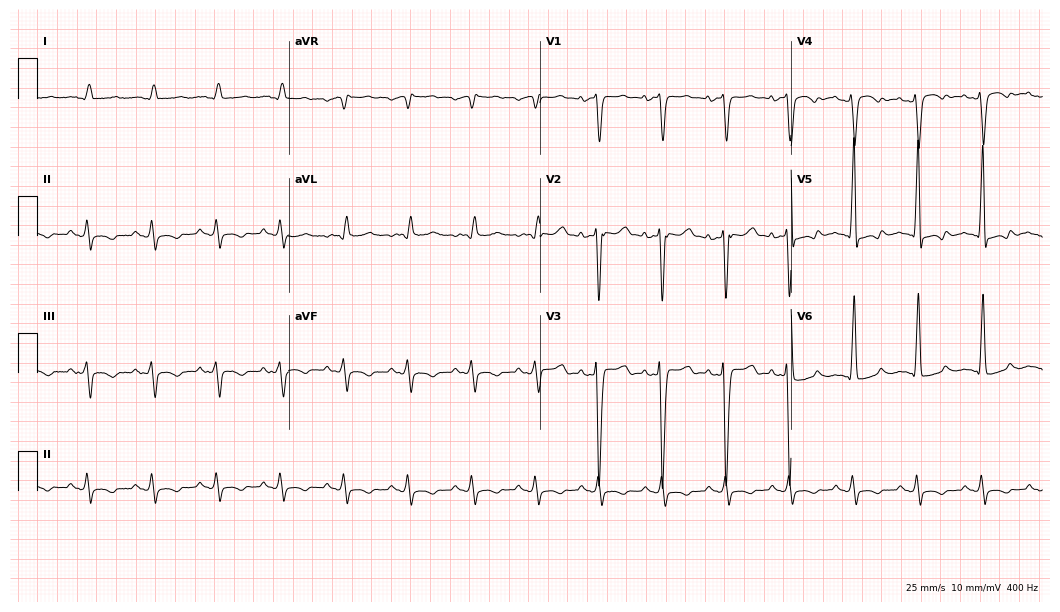
Standard 12-lead ECG recorded from a 47-year-old male patient (10.2-second recording at 400 Hz). None of these six findings is recorded: first-degree AV block, right bundle branch block (RBBB), left bundle branch block (LBBB), sinus bradycardia, atrial fibrillation (AF), sinus tachycardia. Findings outside these six are not listed.